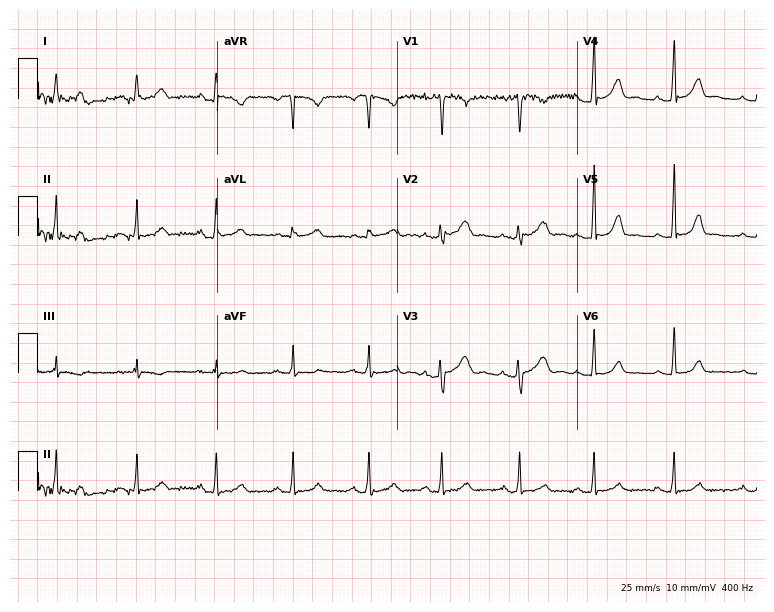
12-lead ECG from a female patient, 19 years old (7.3-second recording at 400 Hz). Recorded interpretation: within normal limits.